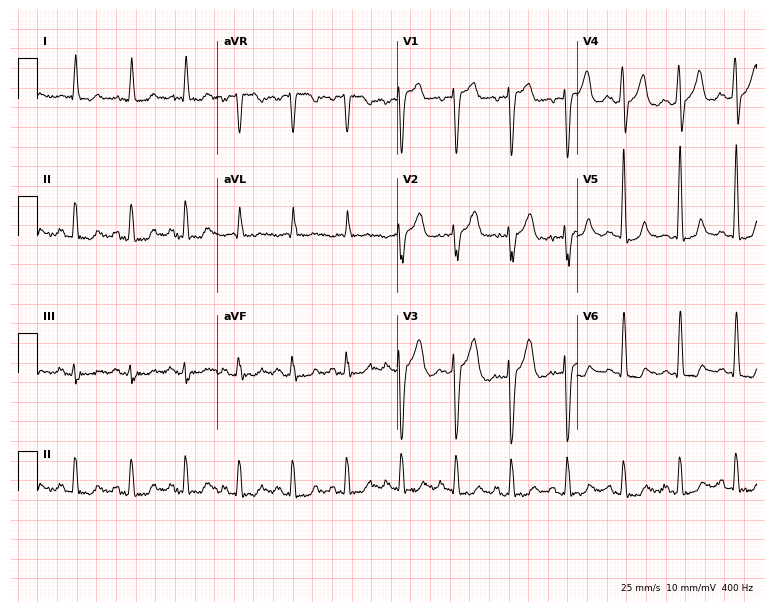
Standard 12-lead ECG recorded from a 71-year-old man. The tracing shows sinus tachycardia (a sinus rate of 100 beats per minute or more).